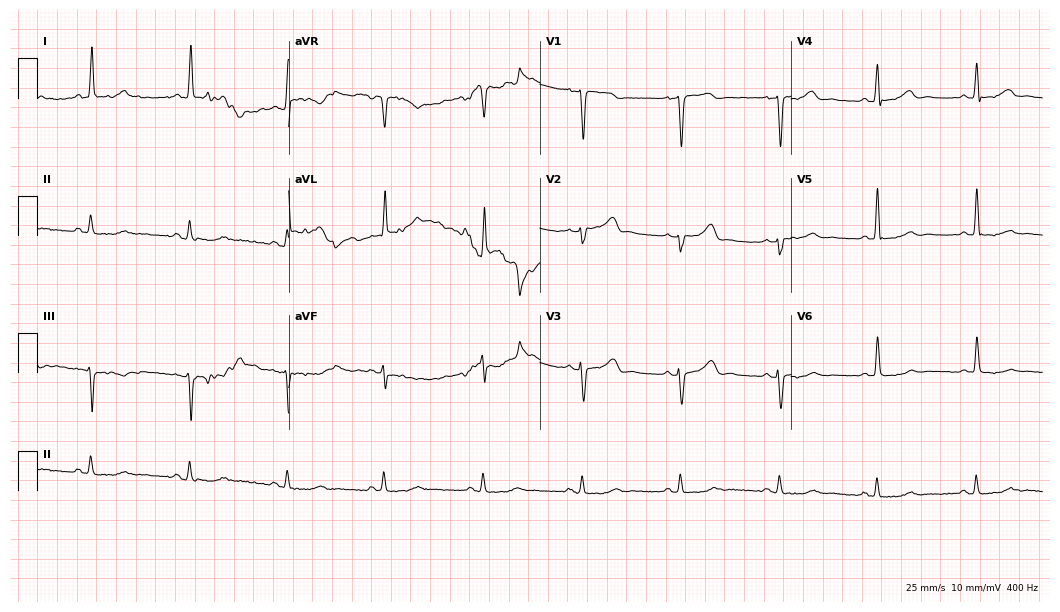
Resting 12-lead electrocardiogram. Patient: a female, 68 years old. None of these six findings is recorded: first-degree AV block, right bundle branch block, left bundle branch block, sinus bradycardia, atrial fibrillation, sinus tachycardia. Other findings, if any, are not listed.